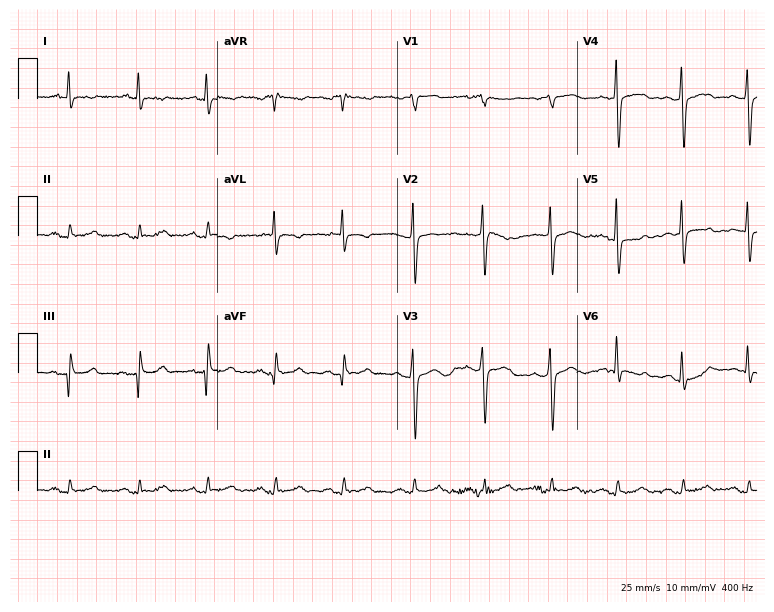
Standard 12-lead ECG recorded from a male, 57 years old (7.3-second recording at 400 Hz). None of these six findings is recorded: first-degree AV block, right bundle branch block, left bundle branch block, sinus bradycardia, atrial fibrillation, sinus tachycardia. Findings outside these six are not listed.